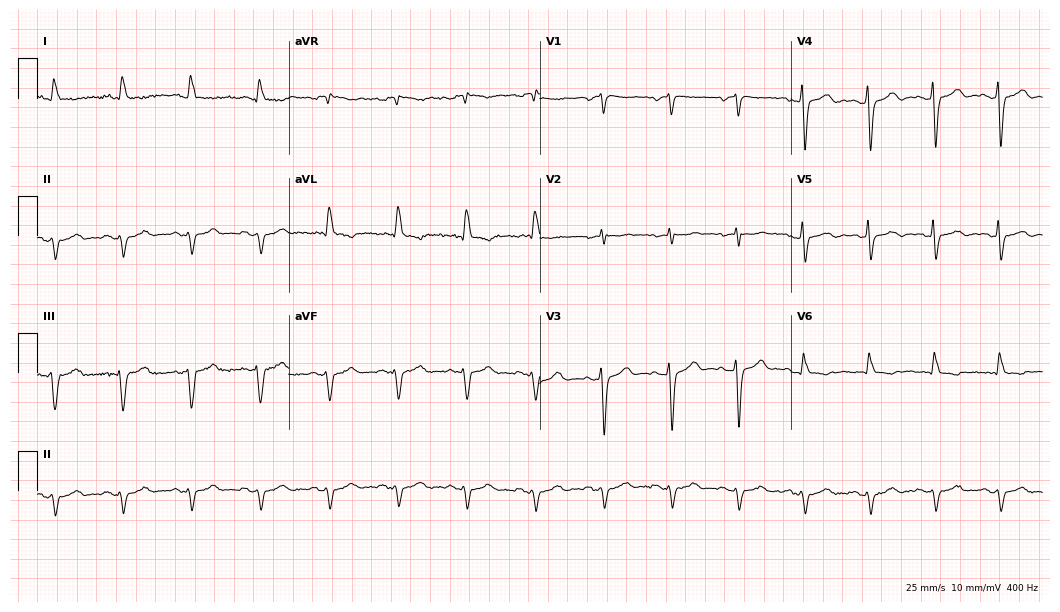
Standard 12-lead ECG recorded from a 62-year-old male. None of these six findings is recorded: first-degree AV block, right bundle branch block, left bundle branch block, sinus bradycardia, atrial fibrillation, sinus tachycardia.